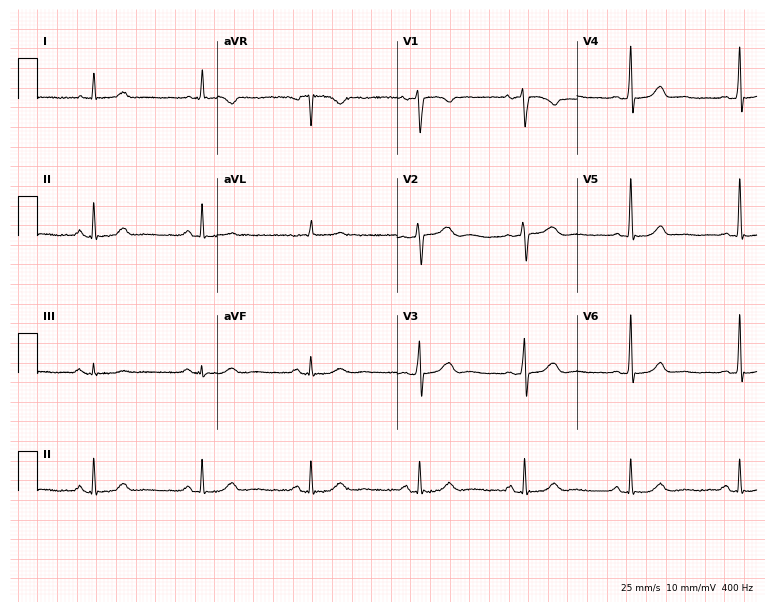
ECG — a female, 63 years old. Labelled as a normal ECG.